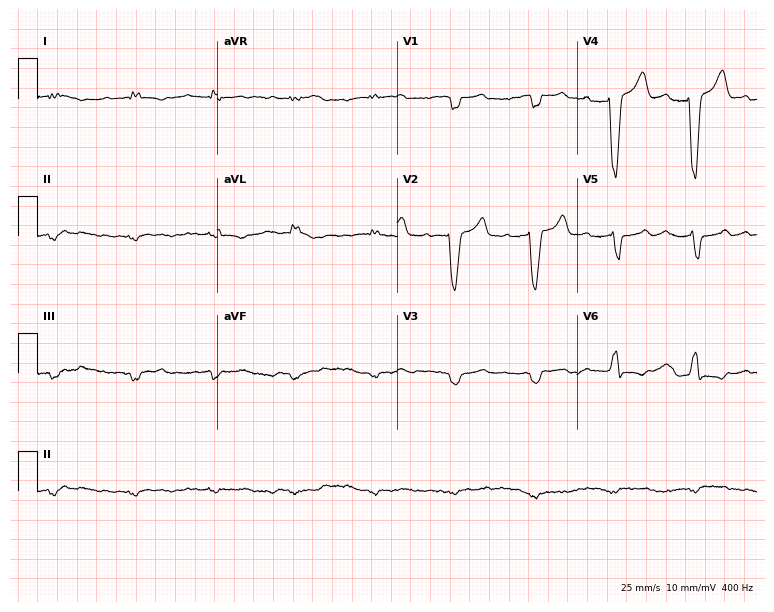
12-lead ECG from an 81-year-old male patient. Shows first-degree AV block, left bundle branch block (LBBB).